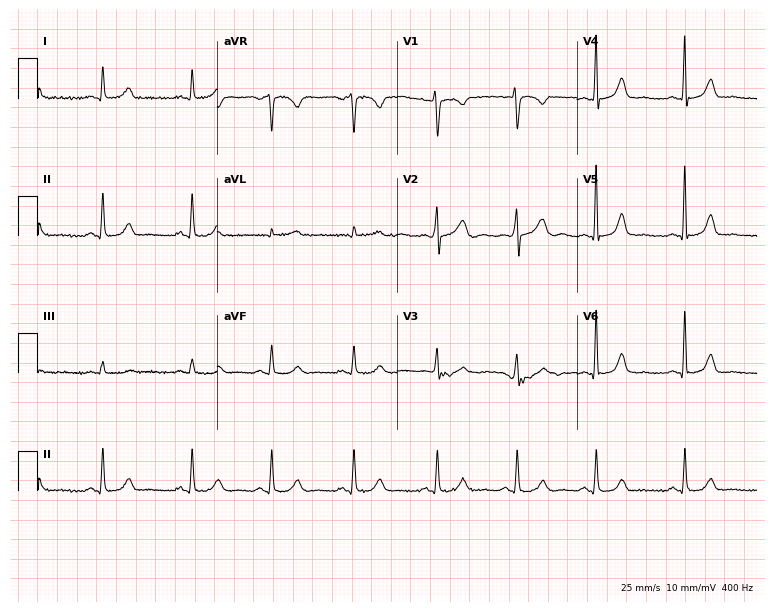
12-lead ECG (7.3-second recording at 400 Hz) from a 46-year-old female patient. Labelled as a normal ECG.